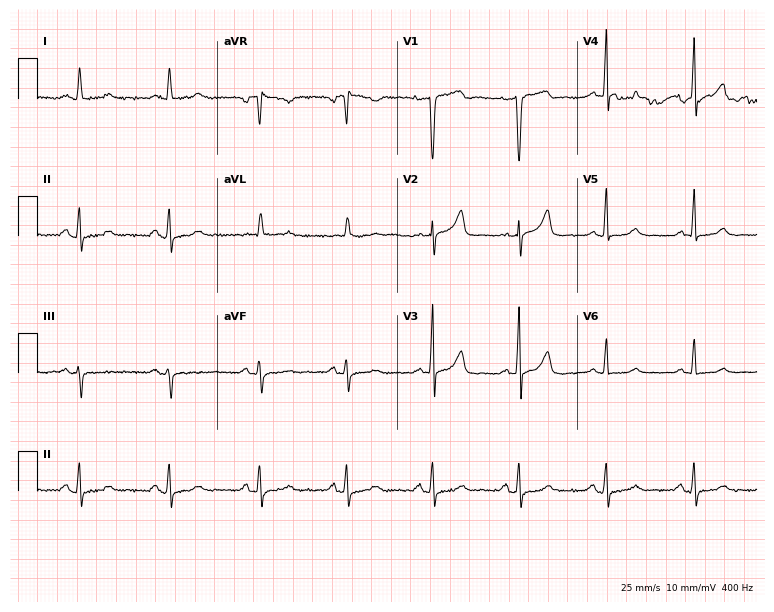
12-lead ECG from a female patient, 59 years old. Recorded interpretation: within normal limits.